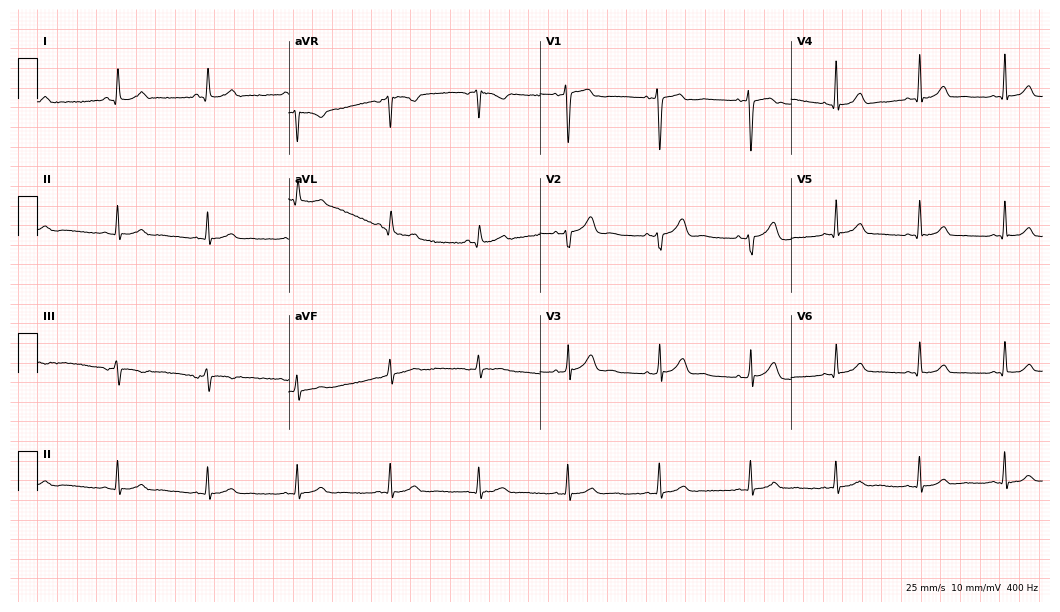
ECG (10.2-second recording at 400 Hz) — a female, 36 years old. Screened for six findings — first-degree AV block, right bundle branch block (RBBB), left bundle branch block (LBBB), sinus bradycardia, atrial fibrillation (AF), sinus tachycardia — none is recorded. Other findings, if any, are not listed.